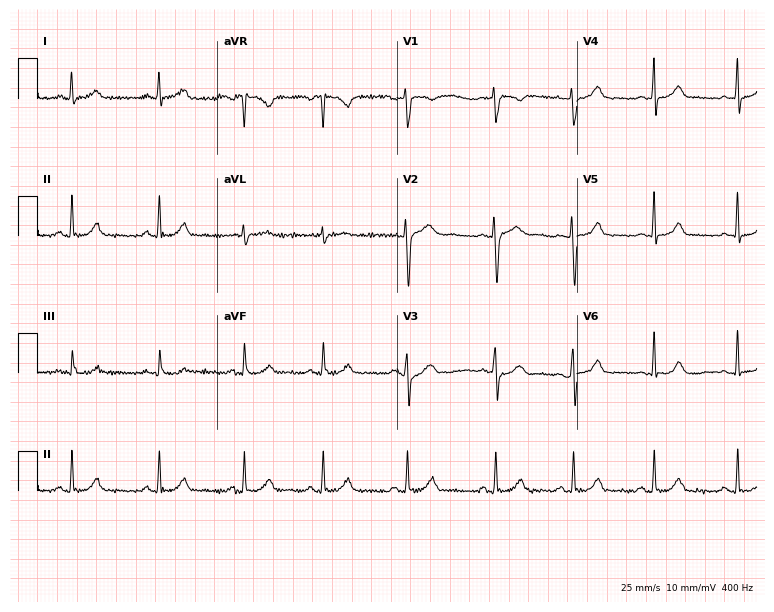
Resting 12-lead electrocardiogram. Patient: a 25-year-old female. None of these six findings is recorded: first-degree AV block, right bundle branch block, left bundle branch block, sinus bradycardia, atrial fibrillation, sinus tachycardia.